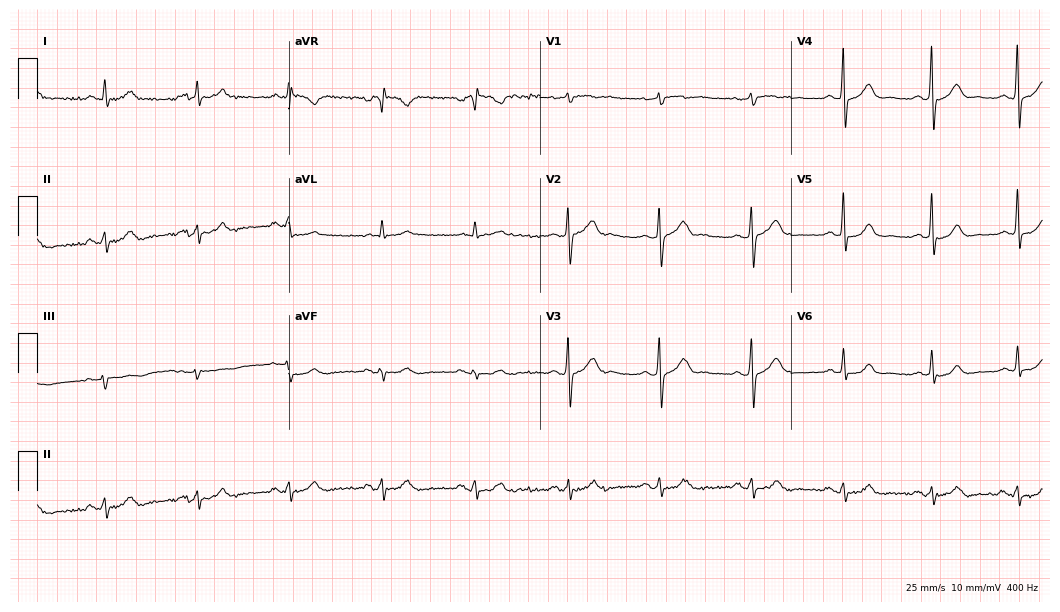
Resting 12-lead electrocardiogram (10.2-second recording at 400 Hz). Patient: a 66-year-old male. None of these six findings is recorded: first-degree AV block, right bundle branch block, left bundle branch block, sinus bradycardia, atrial fibrillation, sinus tachycardia.